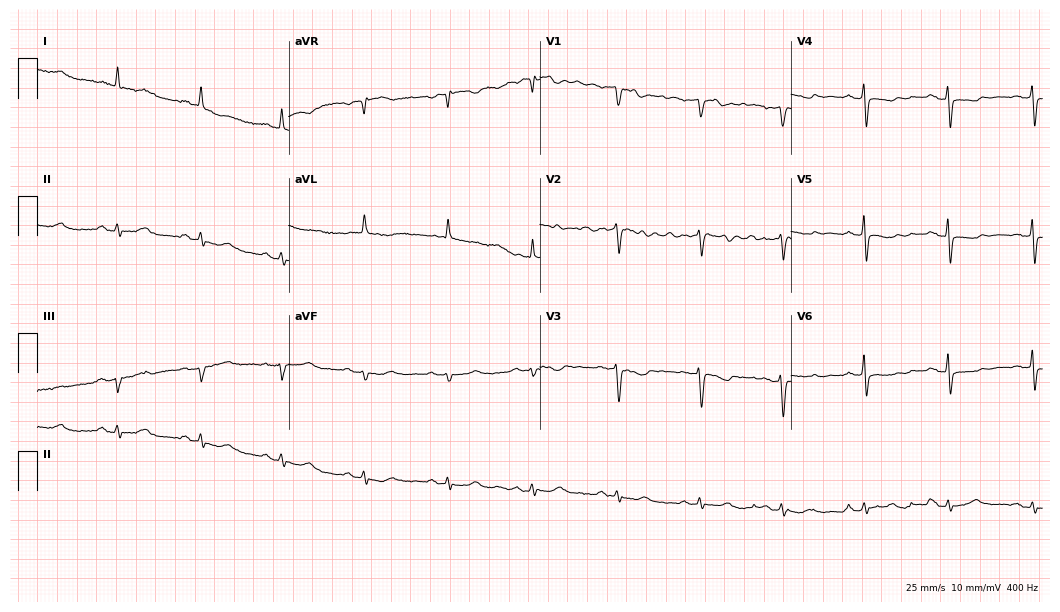
Resting 12-lead electrocardiogram. Patient: a 67-year-old female. None of these six findings is recorded: first-degree AV block, right bundle branch block, left bundle branch block, sinus bradycardia, atrial fibrillation, sinus tachycardia. Only these six findings were labelled.